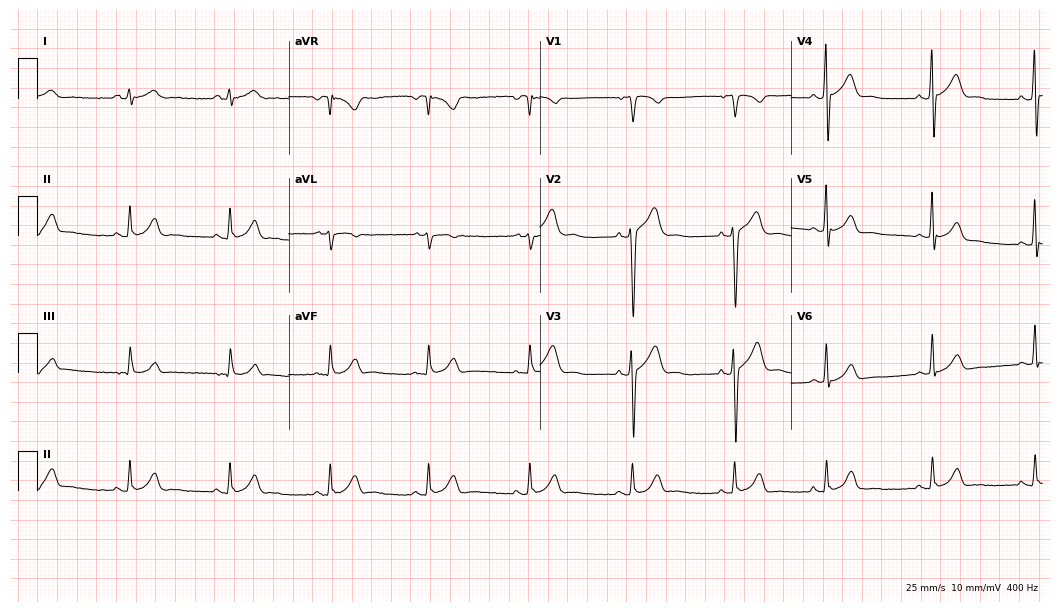
Resting 12-lead electrocardiogram (10.2-second recording at 400 Hz). Patient: a male, 40 years old. None of these six findings is recorded: first-degree AV block, right bundle branch block, left bundle branch block, sinus bradycardia, atrial fibrillation, sinus tachycardia. Only these six findings were labelled.